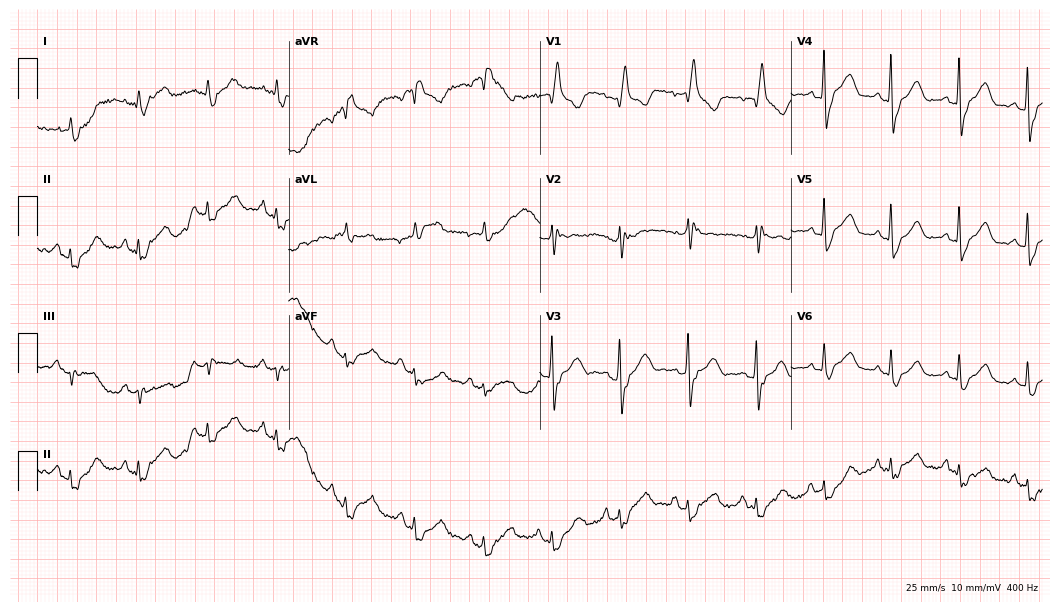
12-lead ECG (10.2-second recording at 400 Hz) from a 73-year-old woman. Findings include right bundle branch block.